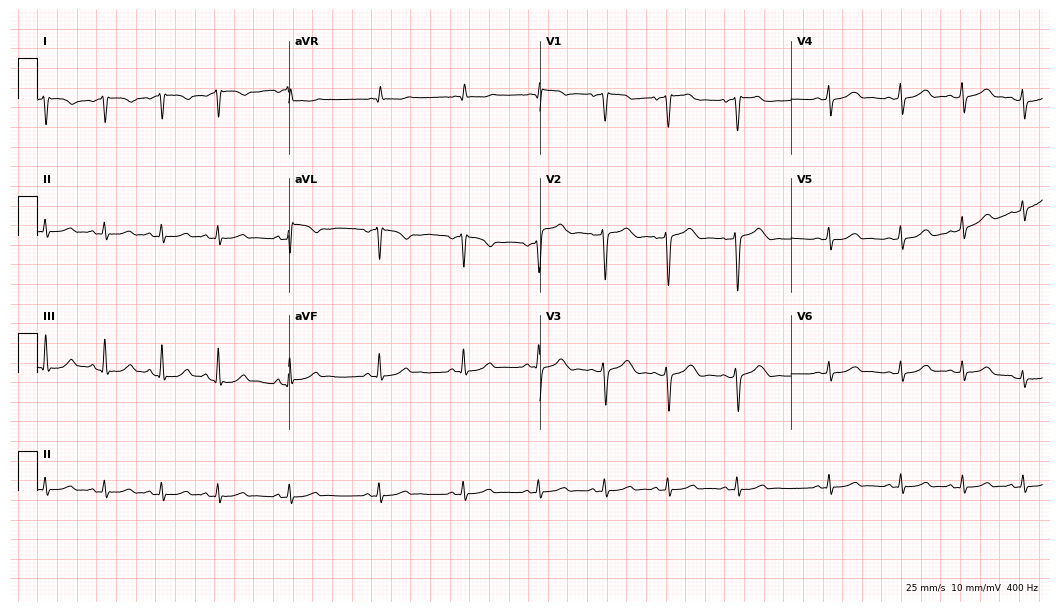
Electrocardiogram, a woman, 19 years old. Of the six screened findings (first-degree AV block, right bundle branch block (RBBB), left bundle branch block (LBBB), sinus bradycardia, atrial fibrillation (AF), sinus tachycardia), none is recorded. Findings outside these six are not listed.